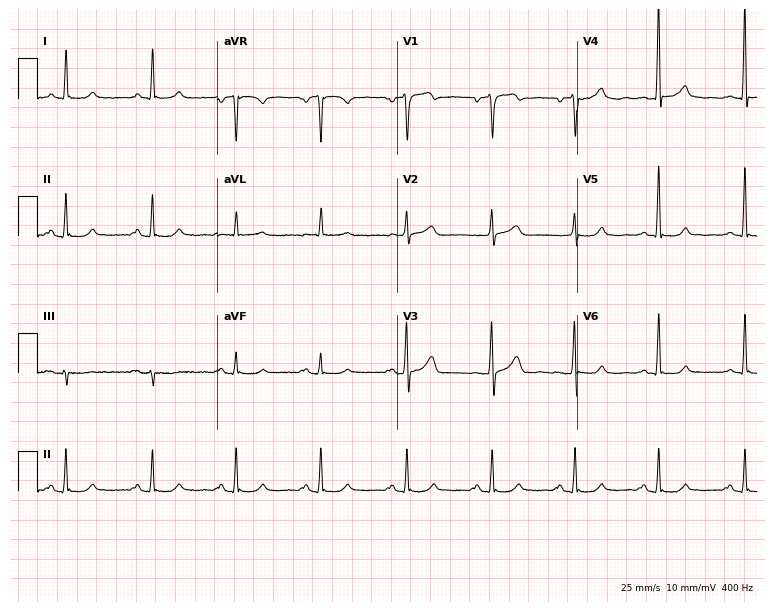
ECG — a 68-year-old male patient. Screened for six findings — first-degree AV block, right bundle branch block, left bundle branch block, sinus bradycardia, atrial fibrillation, sinus tachycardia — none is recorded. Findings outside these six are not listed.